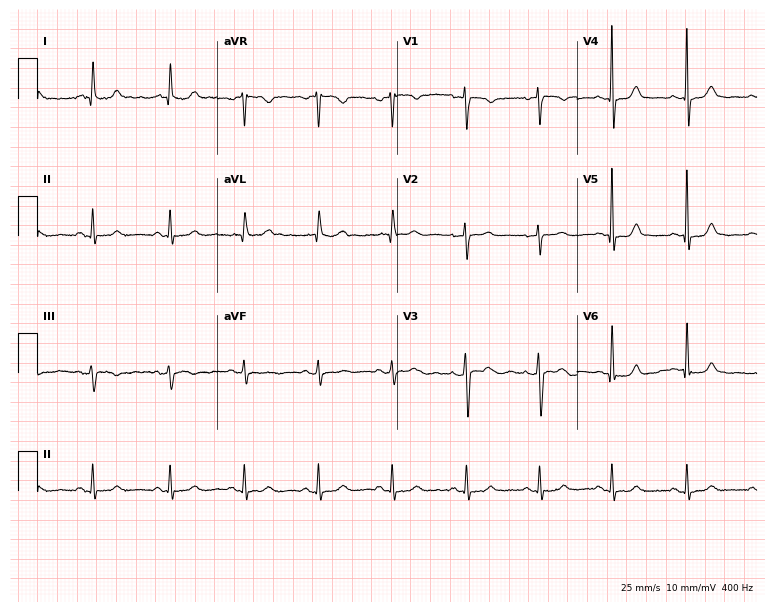
Standard 12-lead ECG recorded from a woman, 42 years old. Read as a normal ECG.